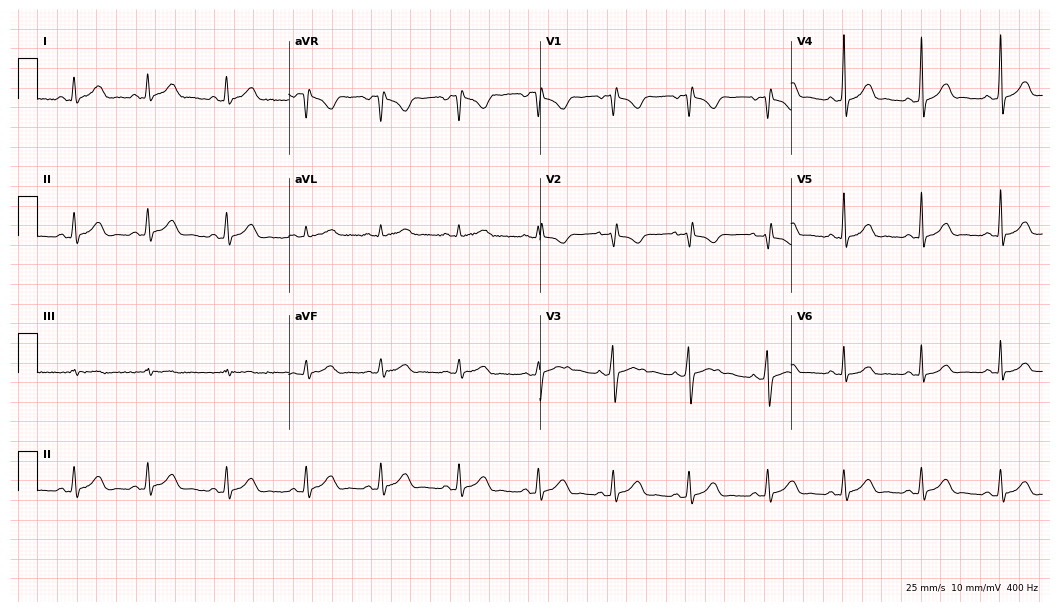
Resting 12-lead electrocardiogram. Patient: a female, 24 years old. None of these six findings is recorded: first-degree AV block, right bundle branch block, left bundle branch block, sinus bradycardia, atrial fibrillation, sinus tachycardia. Findings outside these six are not listed.